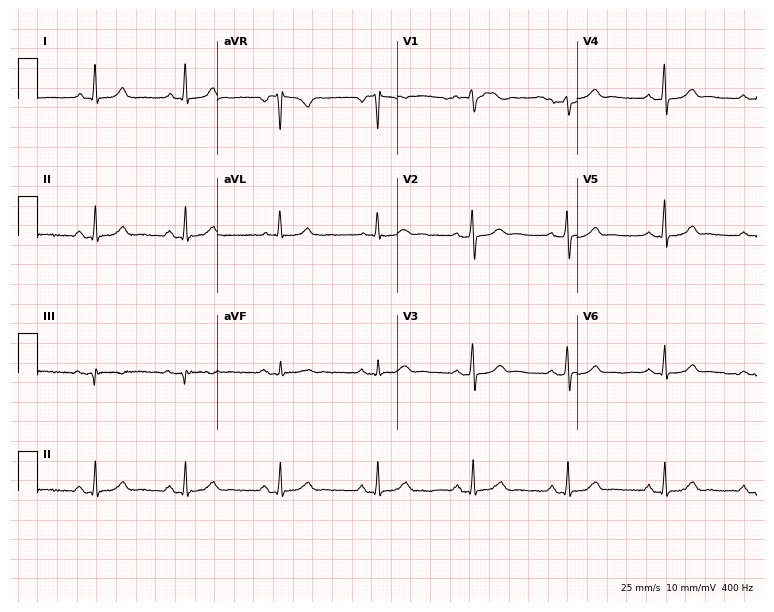
ECG — a woman, 60 years old. Labelled as a normal ECG.